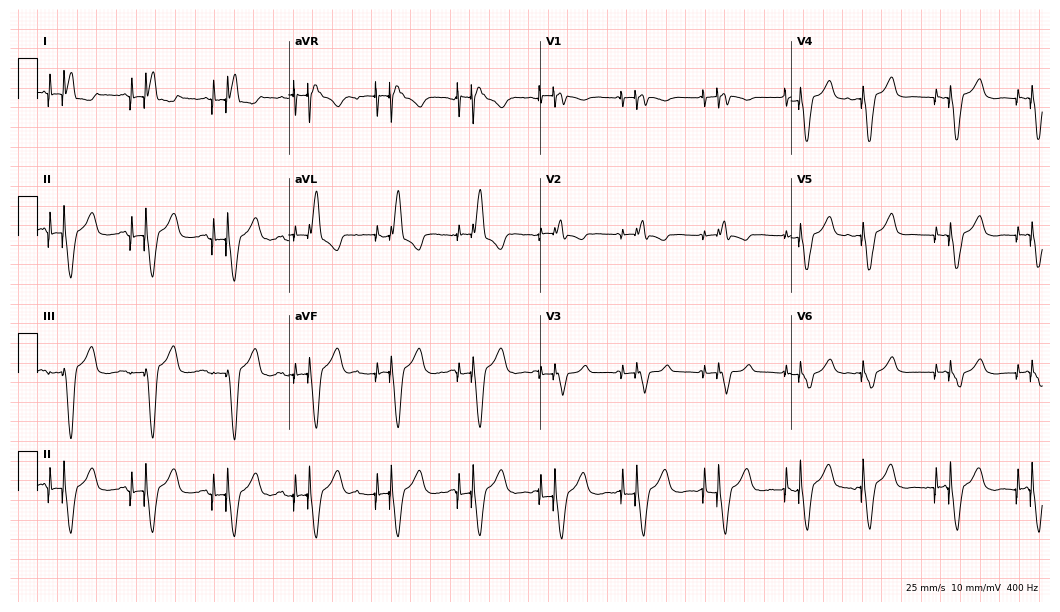
Standard 12-lead ECG recorded from an 80-year-old woman (10.2-second recording at 400 Hz). None of these six findings is recorded: first-degree AV block, right bundle branch block, left bundle branch block, sinus bradycardia, atrial fibrillation, sinus tachycardia.